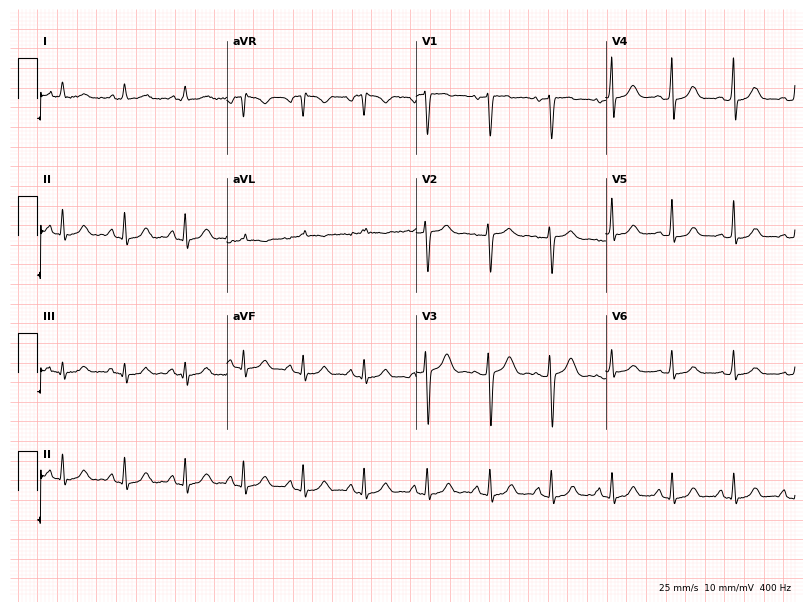
ECG (7.7-second recording at 400 Hz) — a female, 37 years old. Labelled as a normal ECG.